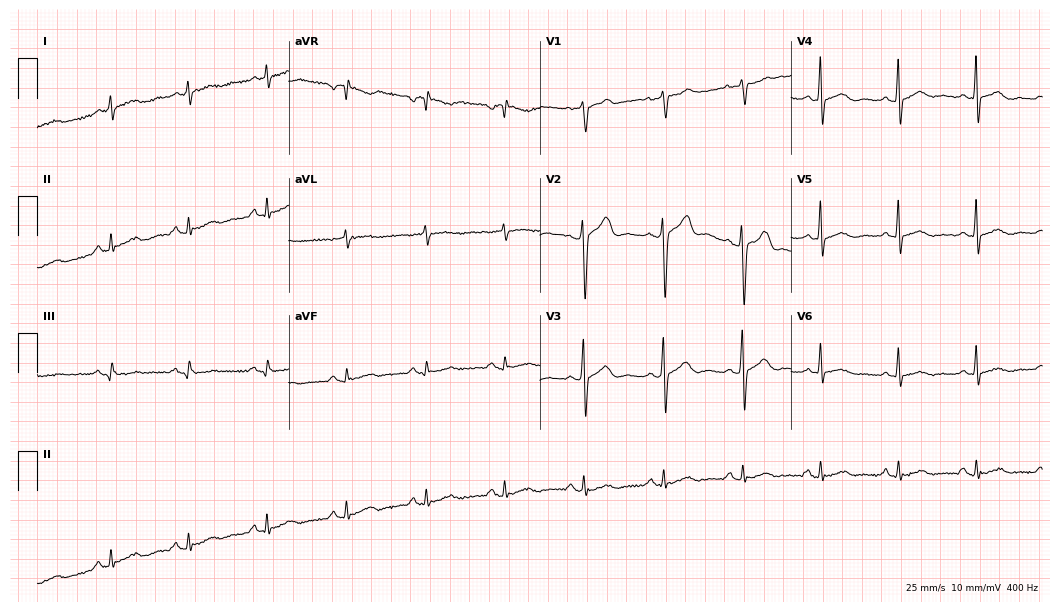
Resting 12-lead electrocardiogram (10.2-second recording at 400 Hz). Patient: a male, 58 years old. Read as a normal ECG.